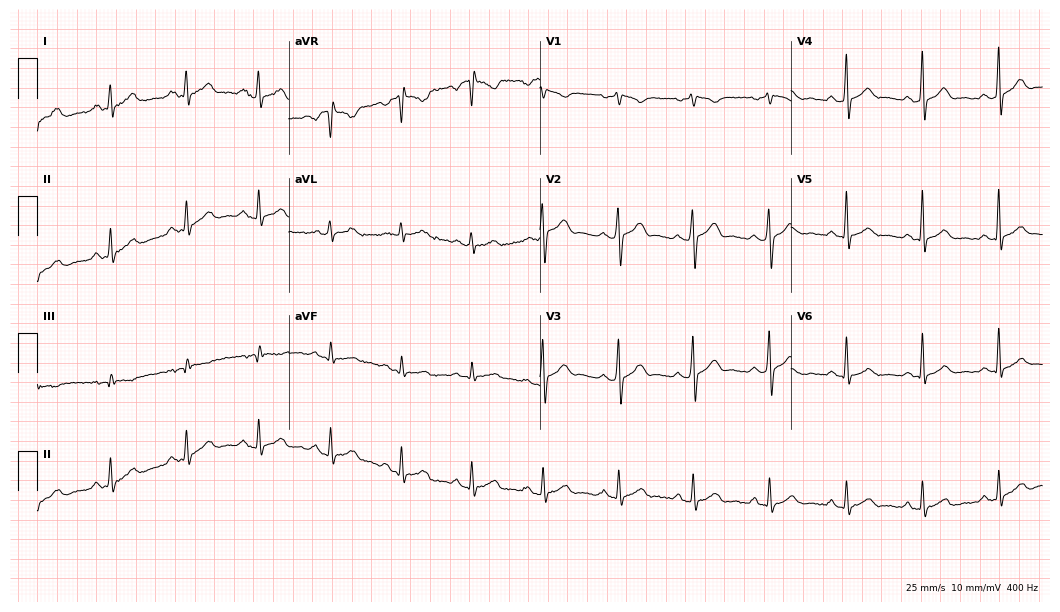
Electrocardiogram, a man, 30 years old. Overall reading on record: normal ECG.